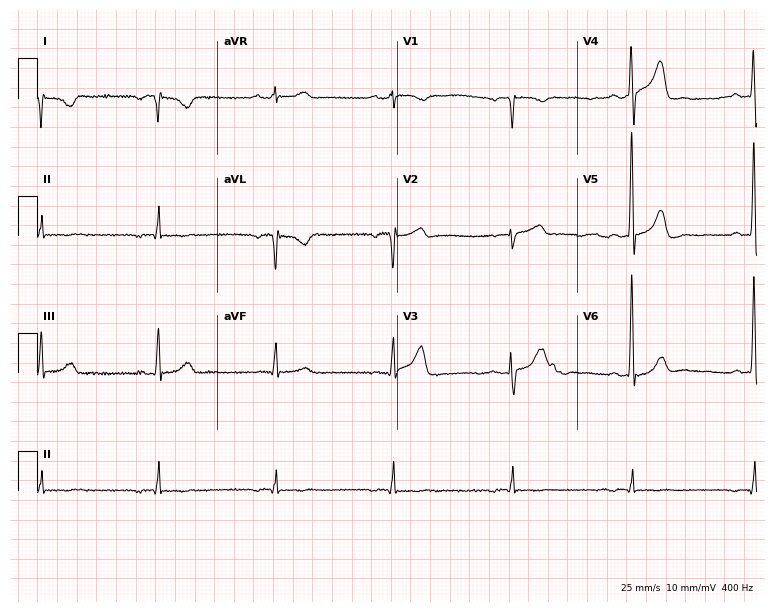
Resting 12-lead electrocardiogram (7.3-second recording at 400 Hz). Patient: a 77-year-old male. None of these six findings is recorded: first-degree AV block, right bundle branch block, left bundle branch block, sinus bradycardia, atrial fibrillation, sinus tachycardia.